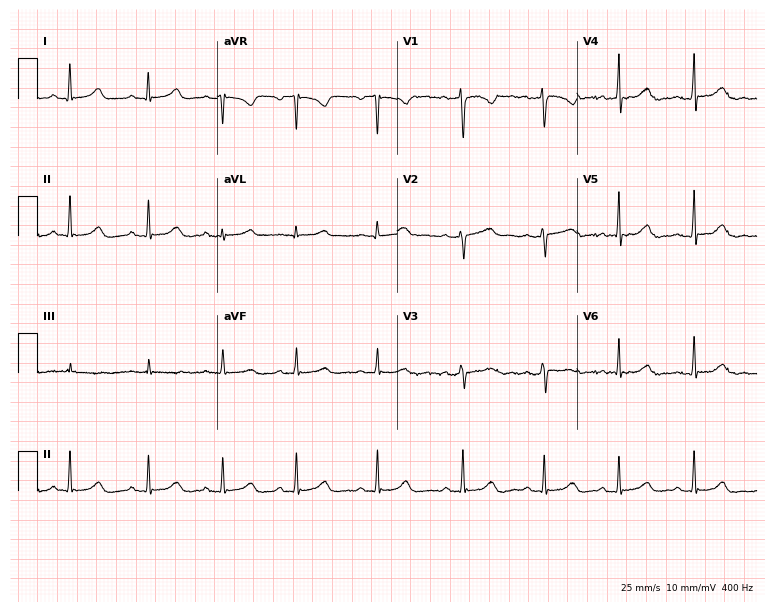
12-lead ECG from a 25-year-old female patient. Labelled as a normal ECG.